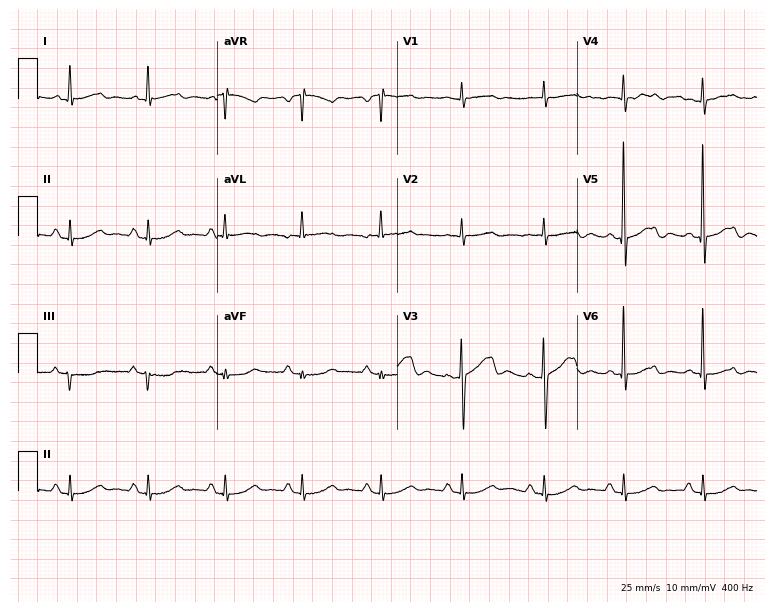
ECG — a 75-year-old female. Screened for six findings — first-degree AV block, right bundle branch block (RBBB), left bundle branch block (LBBB), sinus bradycardia, atrial fibrillation (AF), sinus tachycardia — none is recorded. Other findings, if any, are not listed.